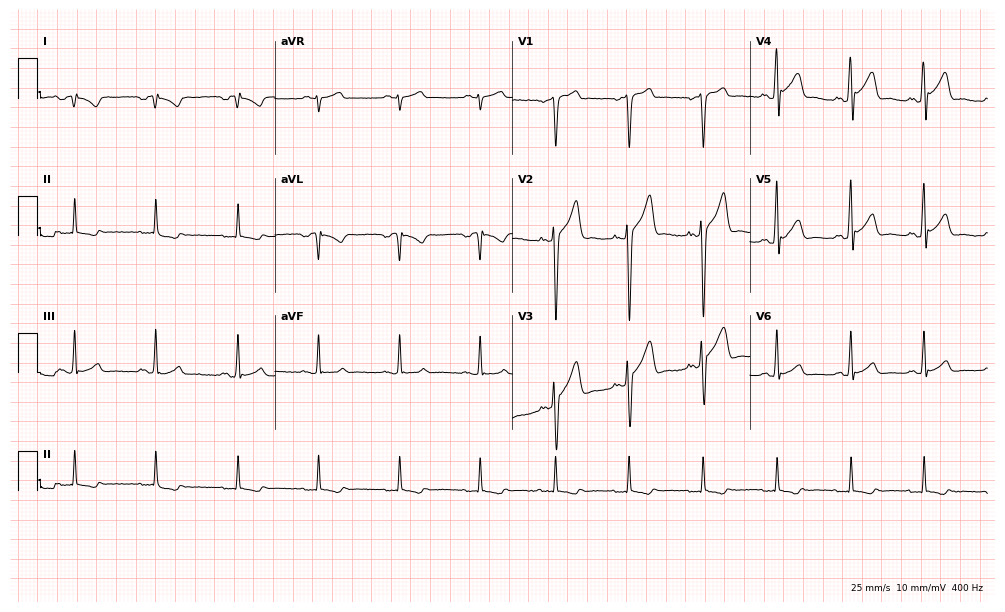
Resting 12-lead electrocardiogram. Patient: a male, 26 years old. None of these six findings is recorded: first-degree AV block, right bundle branch block, left bundle branch block, sinus bradycardia, atrial fibrillation, sinus tachycardia.